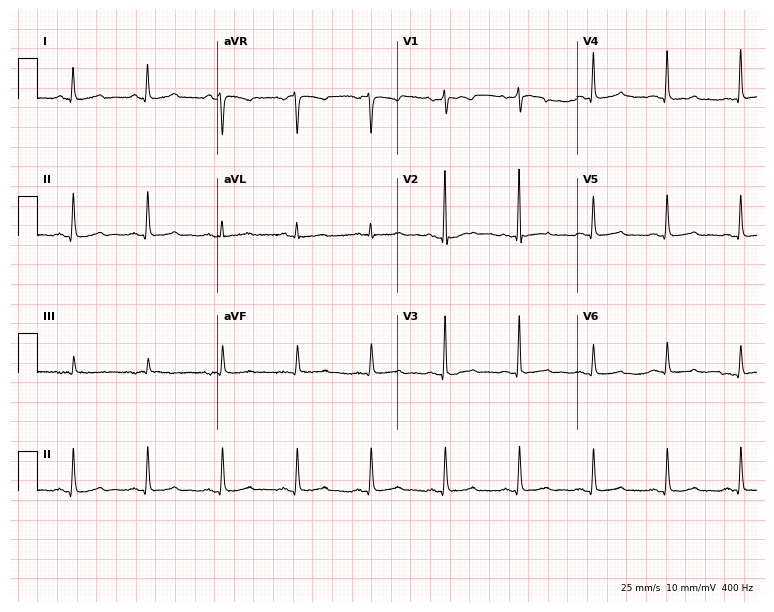
12-lead ECG from a female patient, 83 years old. Recorded interpretation: within normal limits.